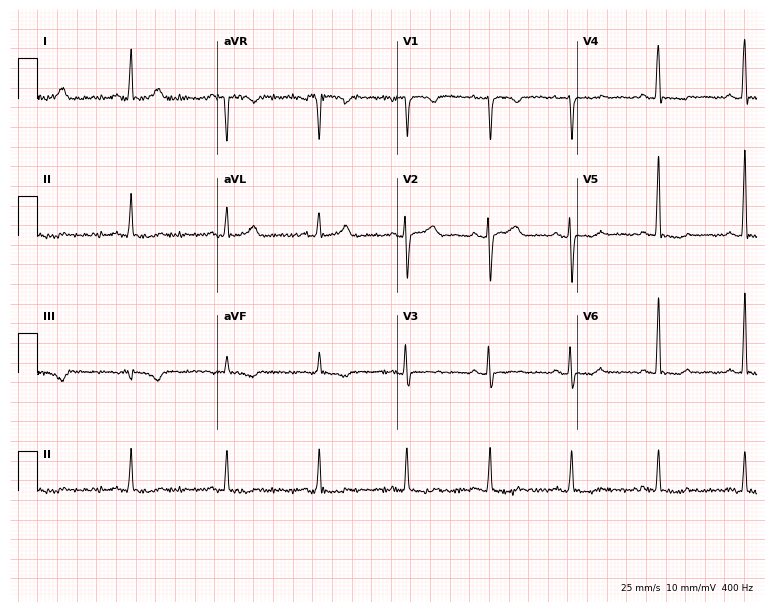
12-lead ECG (7.3-second recording at 400 Hz) from a 48-year-old female patient. Screened for six findings — first-degree AV block, right bundle branch block, left bundle branch block, sinus bradycardia, atrial fibrillation, sinus tachycardia — none is recorded.